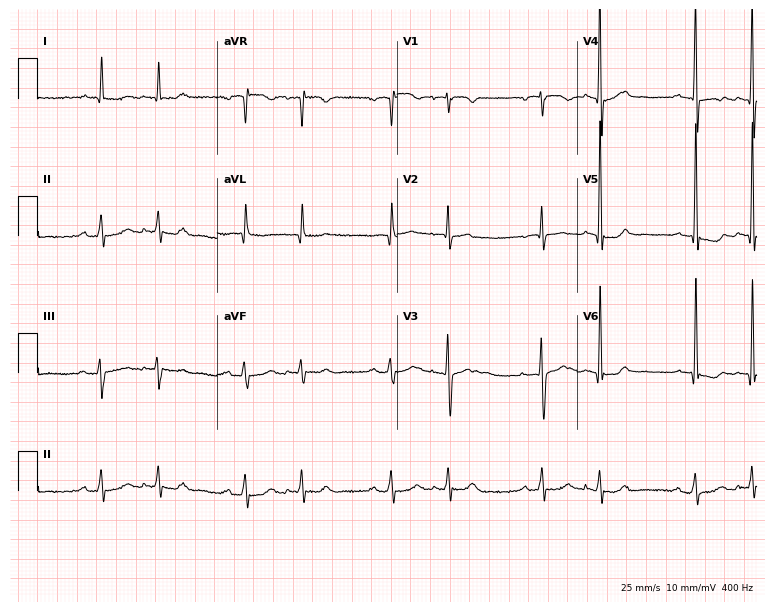
Electrocardiogram (7.3-second recording at 400 Hz), a male, 69 years old. Of the six screened findings (first-degree AV block, right bundle branch block (RBBB), left bundle branch block (LBBB), sinus bradycardia, atrial fibrillation (AF), sinus tachycardia), none is recorded. Other findings, if any, are not listed.